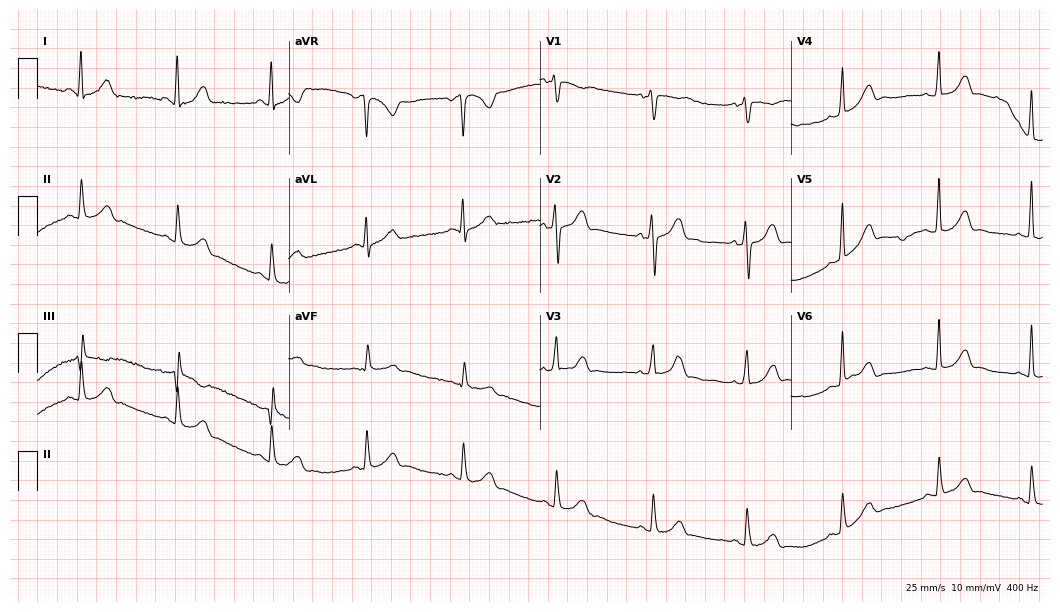
Standard 12-lead ECG recorded from a 33-year-old woman (10.2-second recording at 400 Hz). Read as a normal ECG.